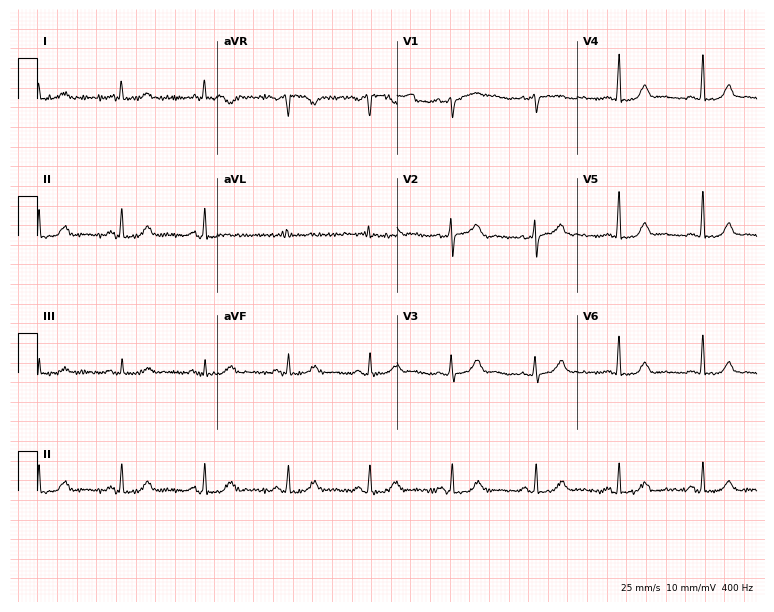
ECG — a 45-year-old female. Labelled as a normal ECG.